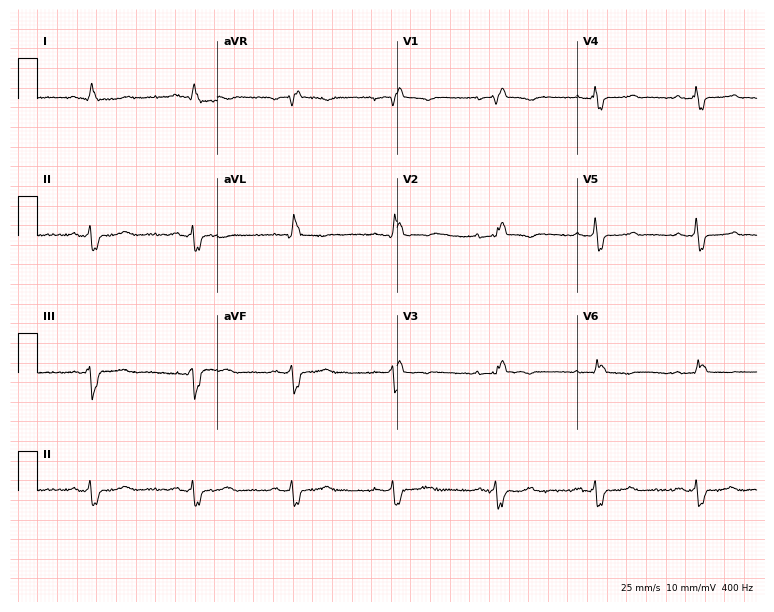
ECG — a female, 42 years old. Findings include right bundle branch block.